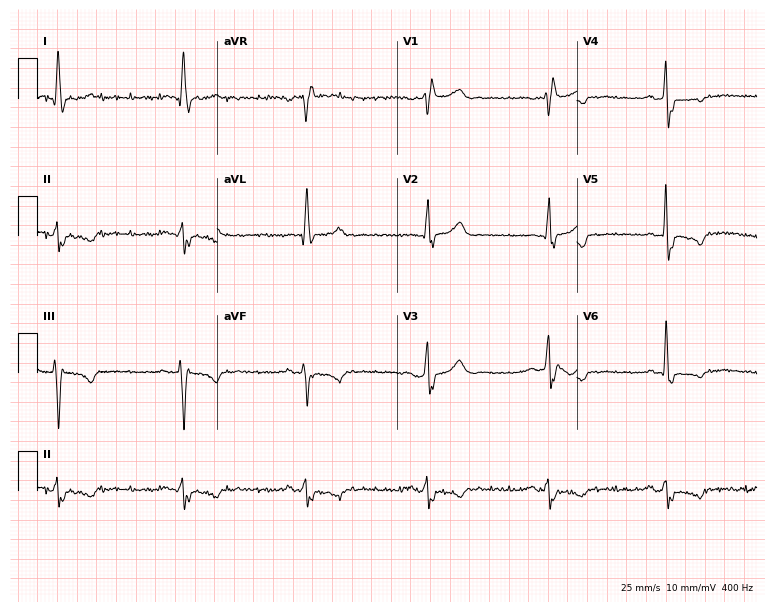
Standard 12-lead ECG recorded from a male, 73 years old. The tracing shows right bundle branch block, sinus bradycardia (a sinus rate of 50 beats per minute or less).